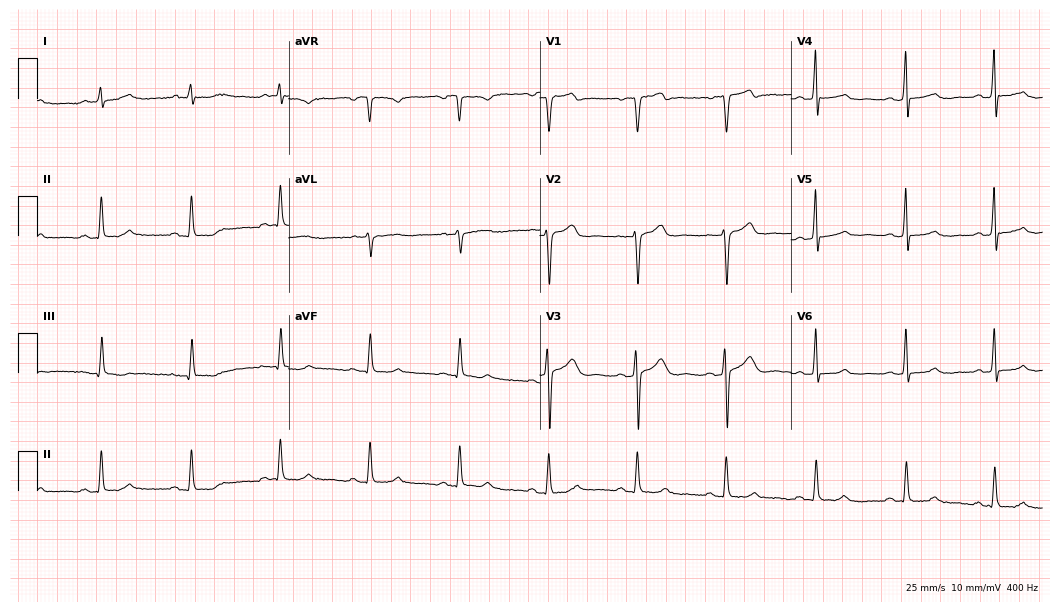
Resting 12-lead electrocardiogram (10.2-second recording at 400 Hz). Patient: a male, 53 years old. Read as a normal ECG.